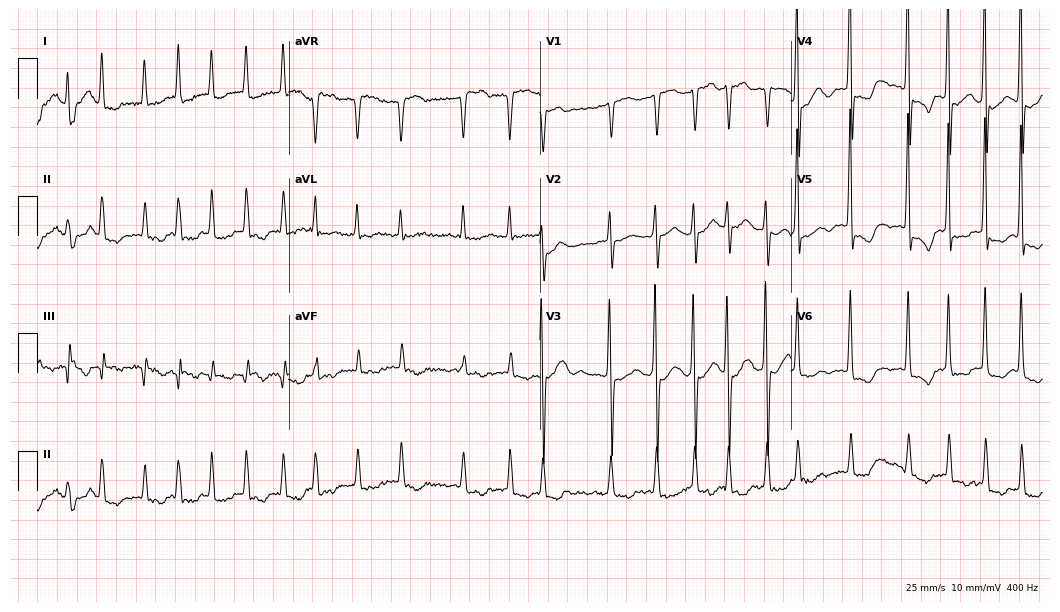
Standard 12-lead ECG recorded from a 74-year-old female patient. The tracing shows atrial fibrillation.